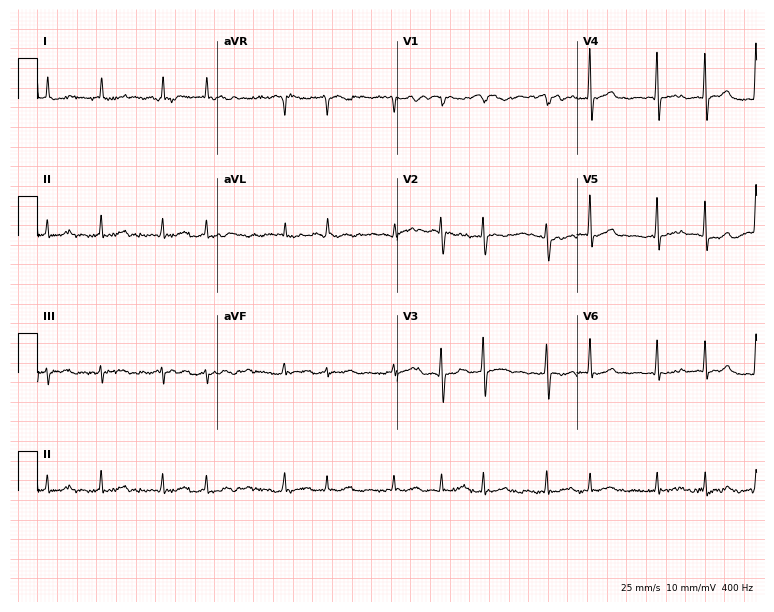
Electrocardiogram (7.3-second recording at 400 Hz), a female patient, 77 years old. Interpretation includes atrial fibrillation.